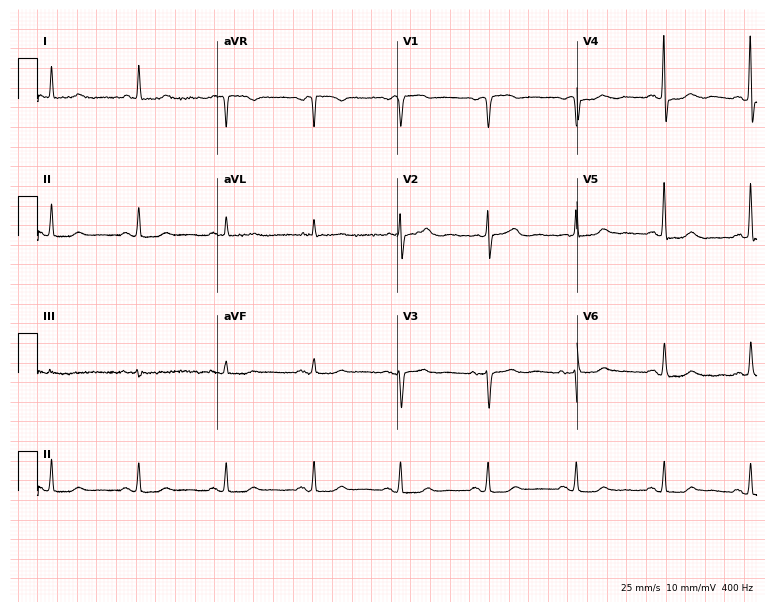
Electrocardiogram (7.3-second recording at 400 Hz), a female patient, 86 years old. Overall reading on record: normal ECG.